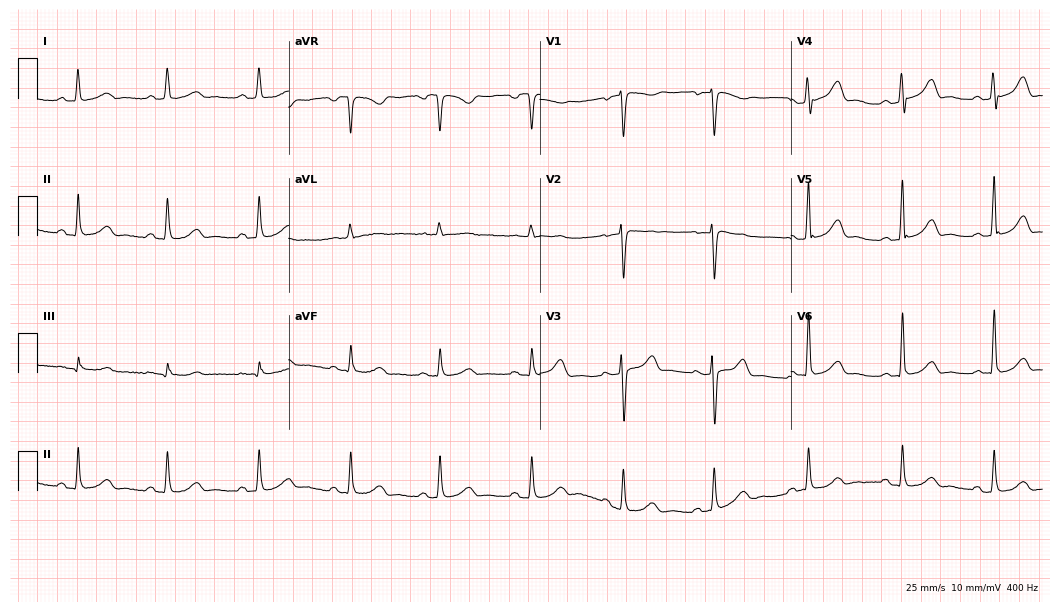
Electrocardiogram, a woman, 55 years old. Overall reading on record: normal ECG.